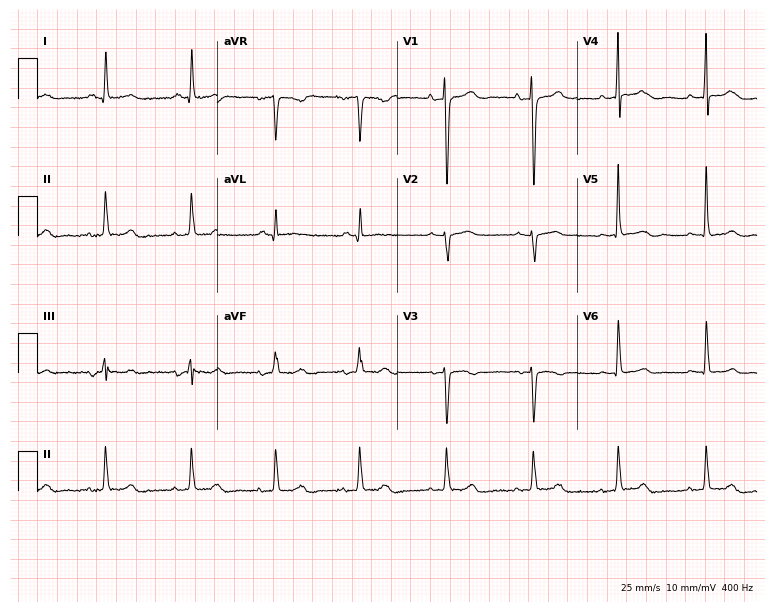
Electrocardiogram (7.3-second recording at 400 Hz), a 70-year-old woman. Overall reading on record: normal ECG.